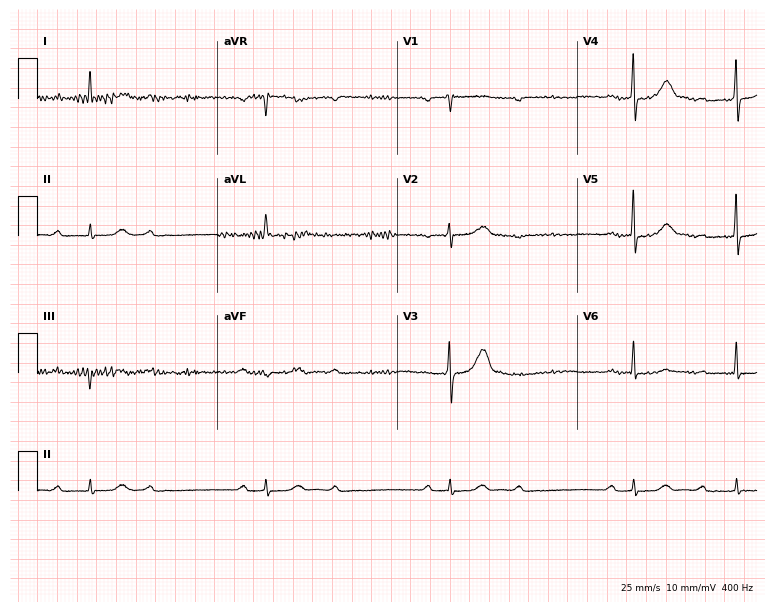
Electrocardiogram (7.3-second recording at 400 Hz), a man, 73 years old. Of the six screened findings (first-degree AV block, right bundle branch block, left bundle branch block, sinus bradycardia, atrial fibrillation, sinus tachycardia), none is recorded.